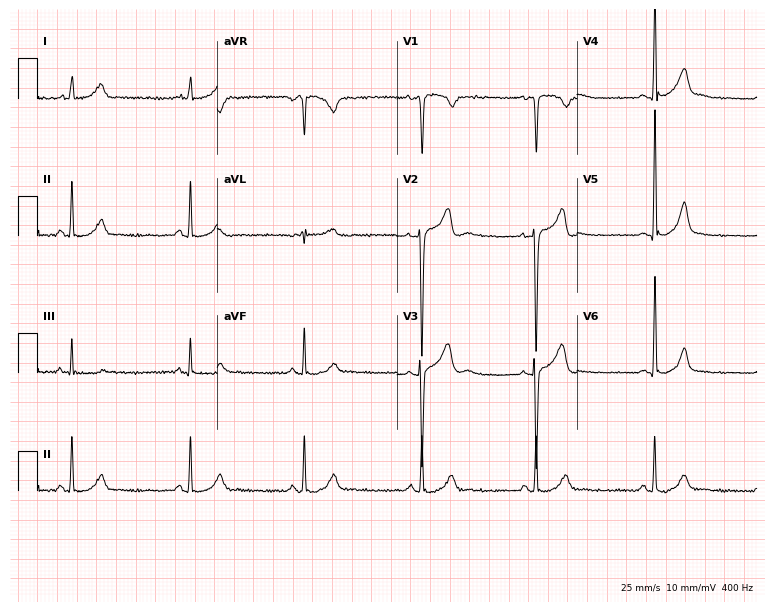
12-lead ECG (7.3-second recording at 400 Hz) from a 25-year-old male patient. Labelled as a normal ECG.